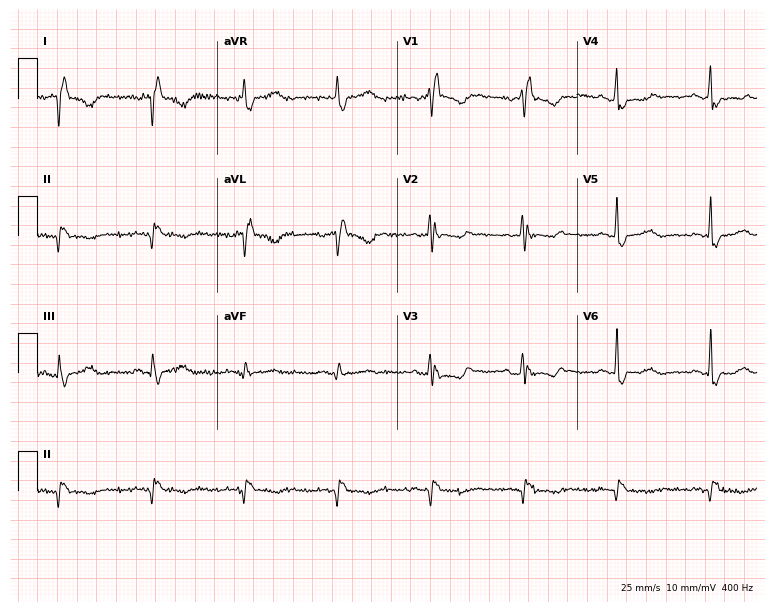
12-lead ECG from a 46-year-old female patient. Screened for six findings — first-degree AV block, right bundle branch block, left bundle branch block, sinus bradycardia, atrial fibrillation, sinus tachycardia — none is recorded. Only these six findings were labelled.